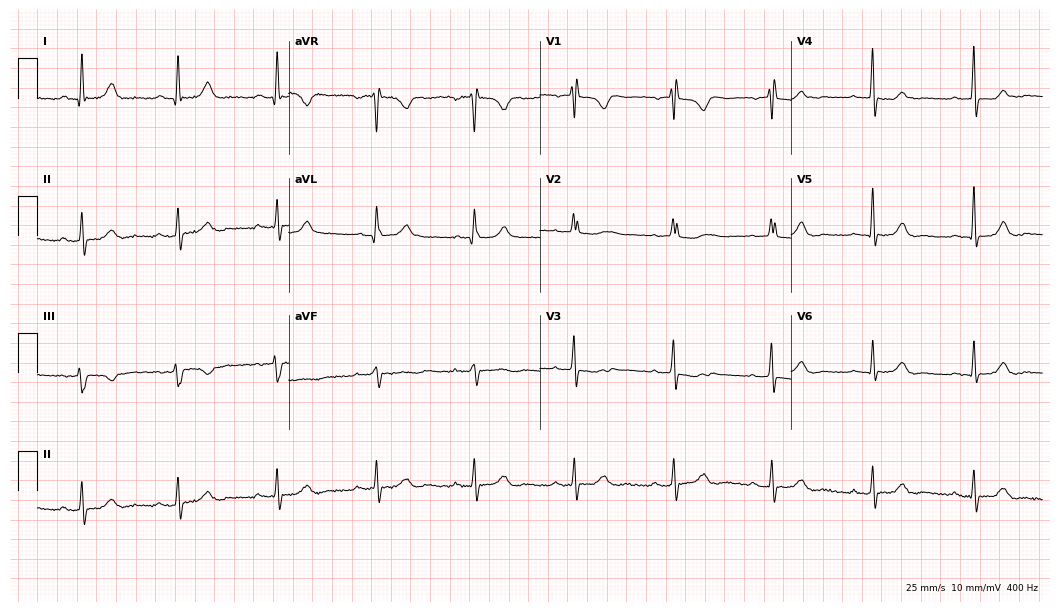
12-lead ECG (10.2-second recording at 400 Hz) from a woman, 54 years old. Screened for six findings — first-degree AV block, right bundle branch block, left bundle branch block, sinus bradycardia, atrial fibrillation, sinus tachycardia — none is recorded. Findings outside these six are not listed.